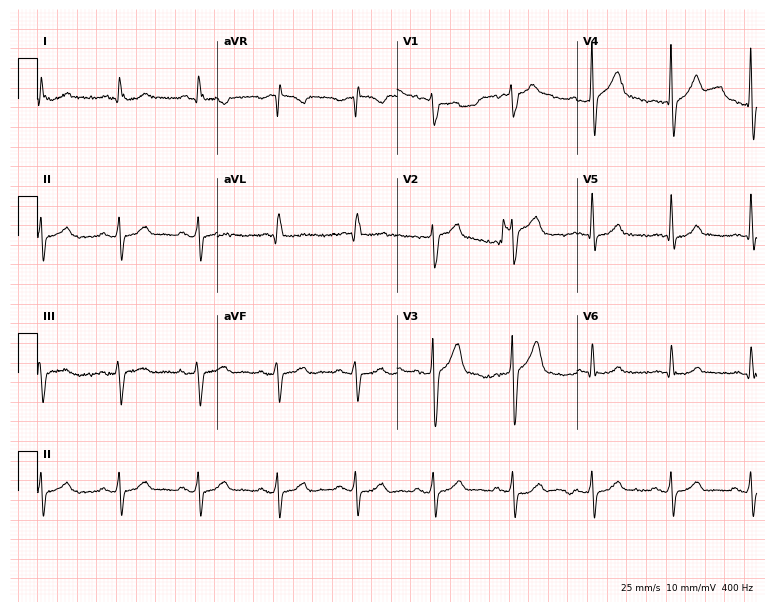
12-lead ECG (7.3-second recording at 400 Hz) from a 49-year-old male. Screened for six findings — first-degree AV block, right bundle branch block, left bundle branch block, sinus bradycardia, atrial fibrillation, sinus tachycardia — none is recorded. Other findings, if any, are not listed.